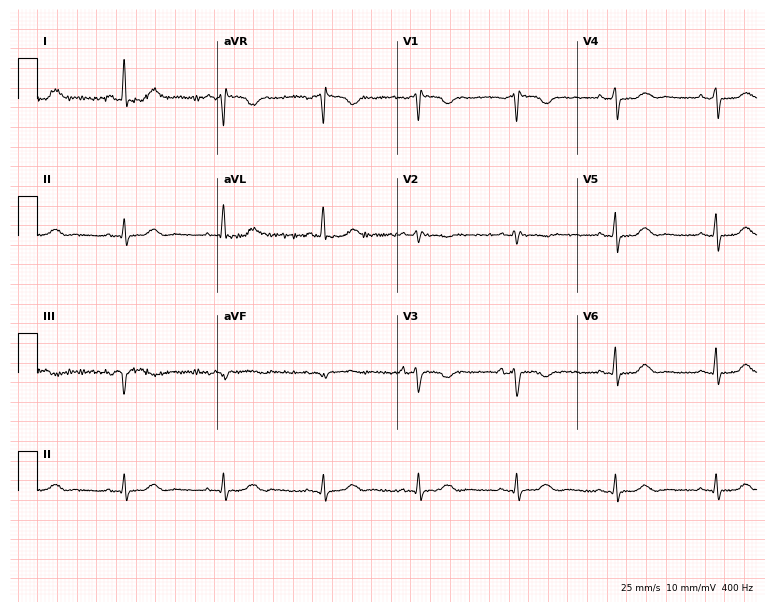
ECG (7.3-second recording at 400 Hz) — a female, 66 years old. Screened for six findings — first-degree AV block, right bundle branch block, left bundle branch block, sinus bradycardia, atrial fibrillation, sinus tachycardia — none is recorded. Findings outside these six are not listed.